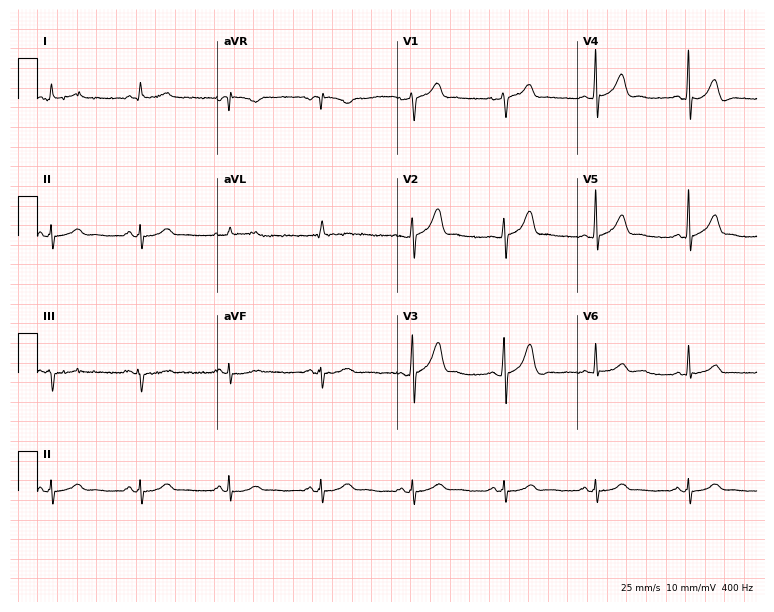
Resting 12-lead electrocardiogram (7.3-second recording at 400 Hz). Patient: a man, 59 years old. Read as a normal ECG.